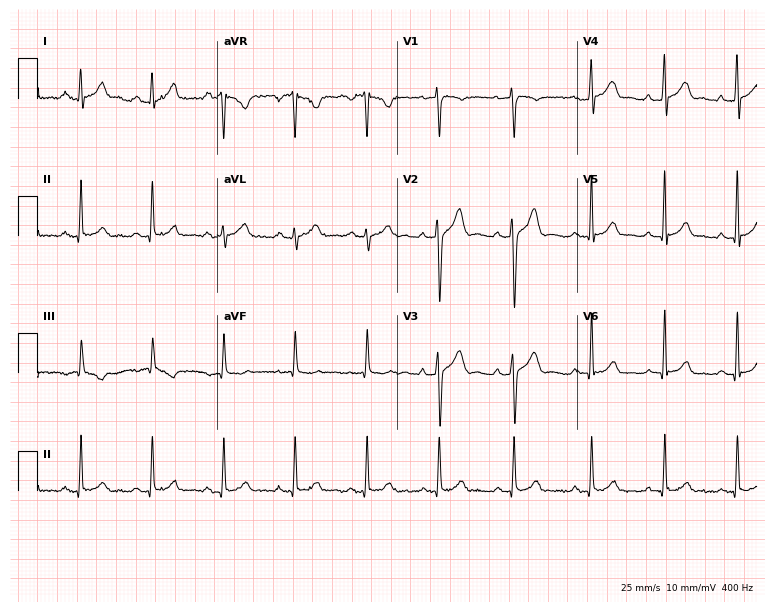
12-lead ECG from a man, 40 years old. Recorded interpretation: within normal limits.